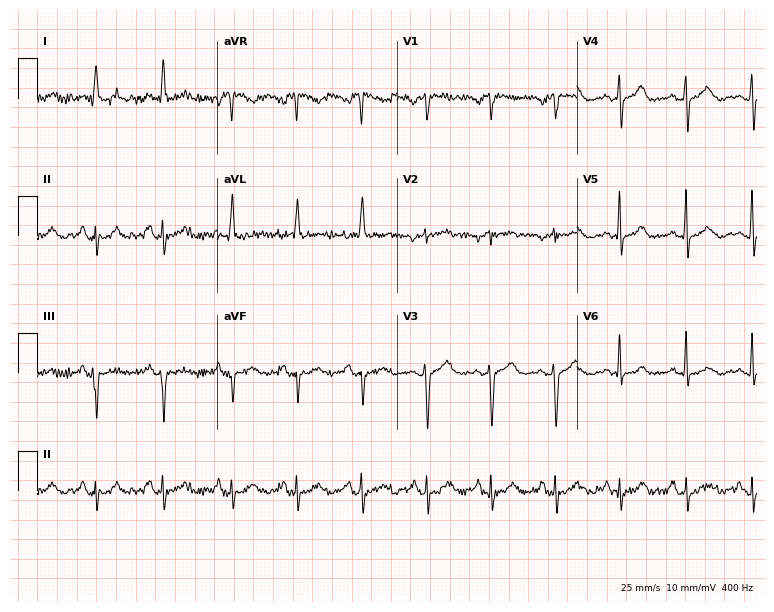
Resting 12-lead electrocardiogram. Patient: a 66-year-old female. None of these six findings is recorded: first-degree AV block, right bundle branch block, left bundle branch block, sinus bradycardia, atrial fibrillation, sinus tachycardia. Findings outside these six are not listed.